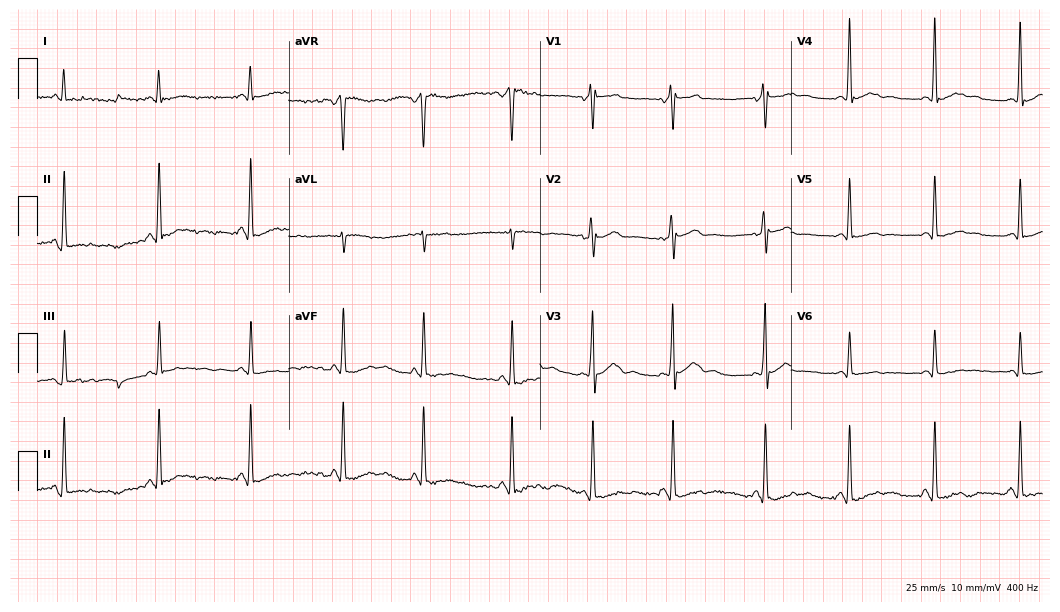
Electrocardiogram, a 28-year-old man. Of the six screened findings (first-degree AV block, right bundle branch block (RBBB), left bundle branch block (LBBB), sinus bradycardia, atrial fibrillation (AF), sinus tachycardia), none is recorded. Findings outside these six are not listed.